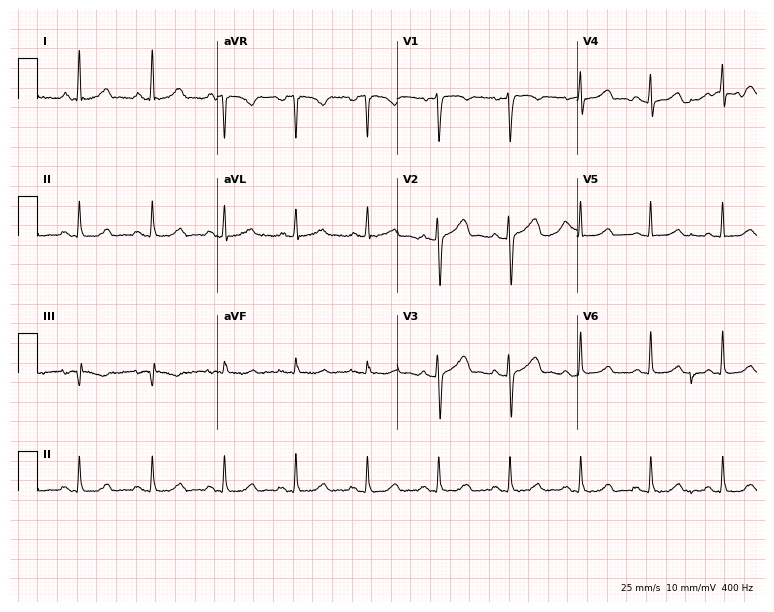
Electrocardiogram, a 37-year-old female. Overall reading on record: normal ECG.